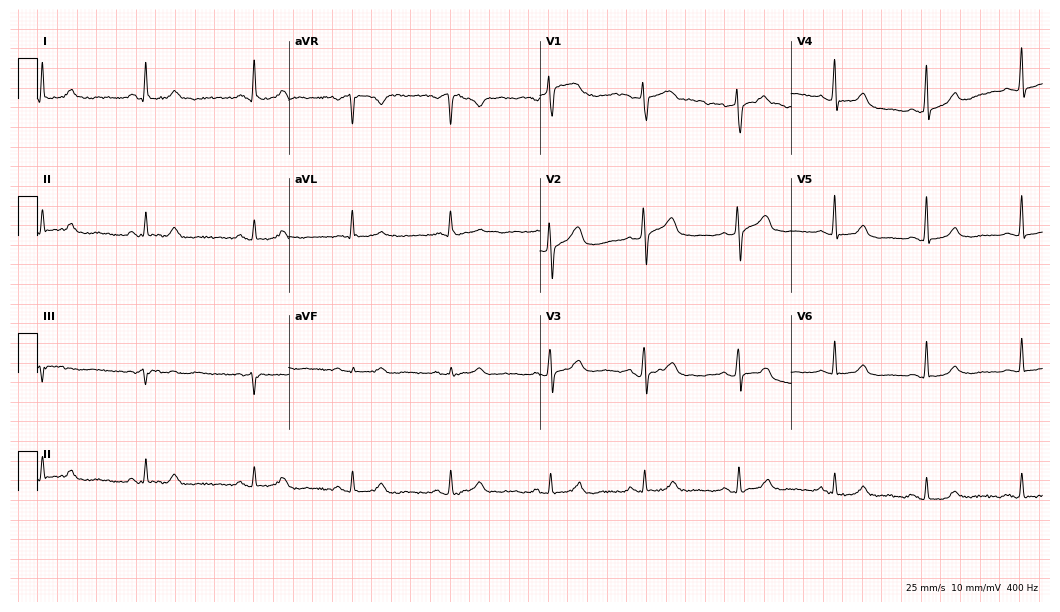
12-lead ECG from a female, 73 years old. Recorded interpretation: within normal limits.